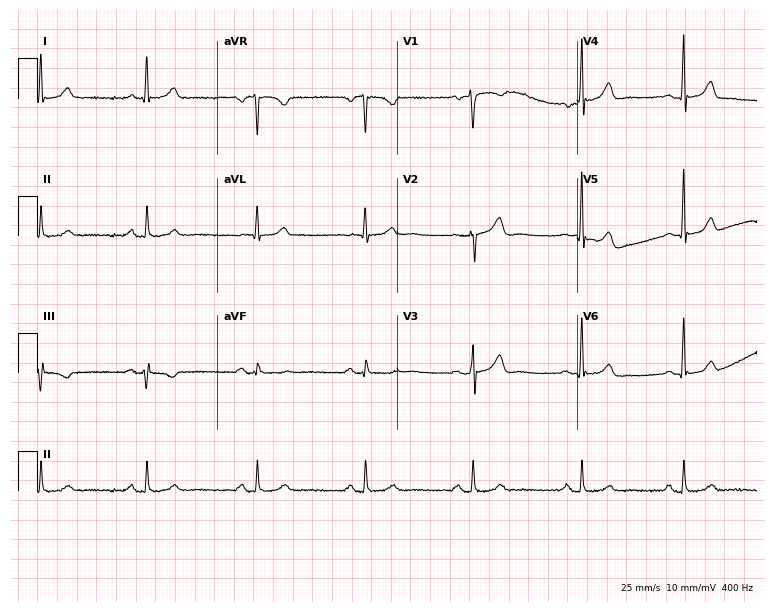
Electrocardiogram (7.3-second recording at 400 Hz), a female patient, 43 years old. Overall reading on record: normal ECG.